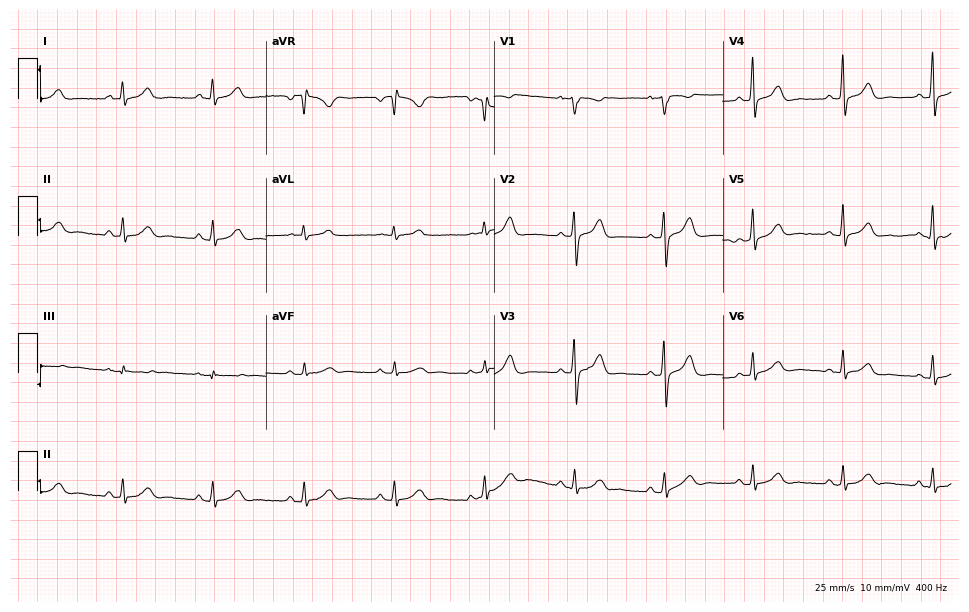
12-lead ECG (9.3-second recording at 400 Hz) from a male patient, 54 years old. Labelled as a normal ECG.